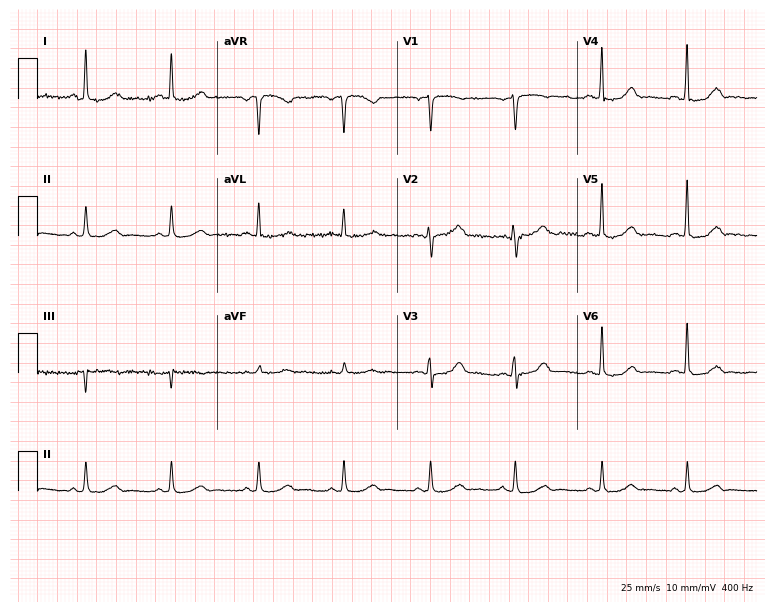
Resting 12-lead electrocardiogram. Patient: a woman, 52 years old. None of these six findings is recorded: first-degree AV block, right bundle branch block, left bundle branch block, sinus bradycardia, atrial fibrillation, sinus tachycardia. Only these six findings were labelled.